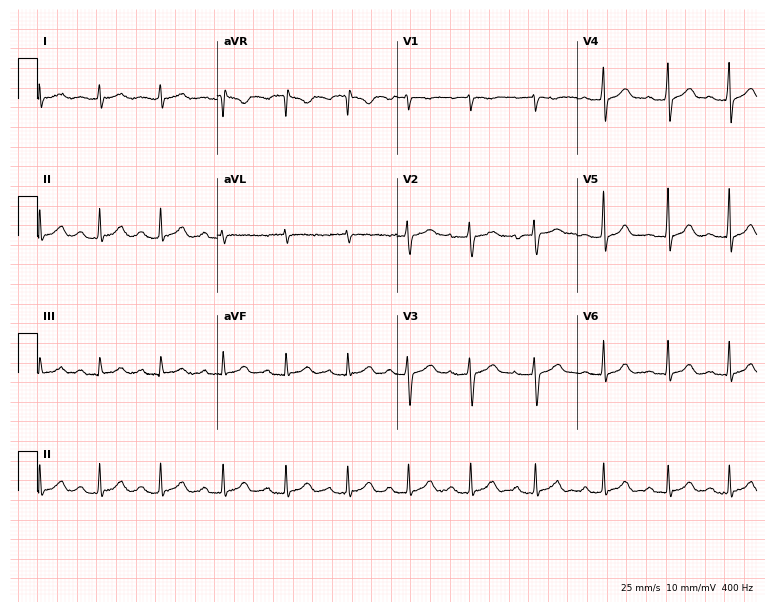
12-lead ECG (7.3-second recording at 400 Hz) from a female, 26 years old. Labelled as a normal ECG.